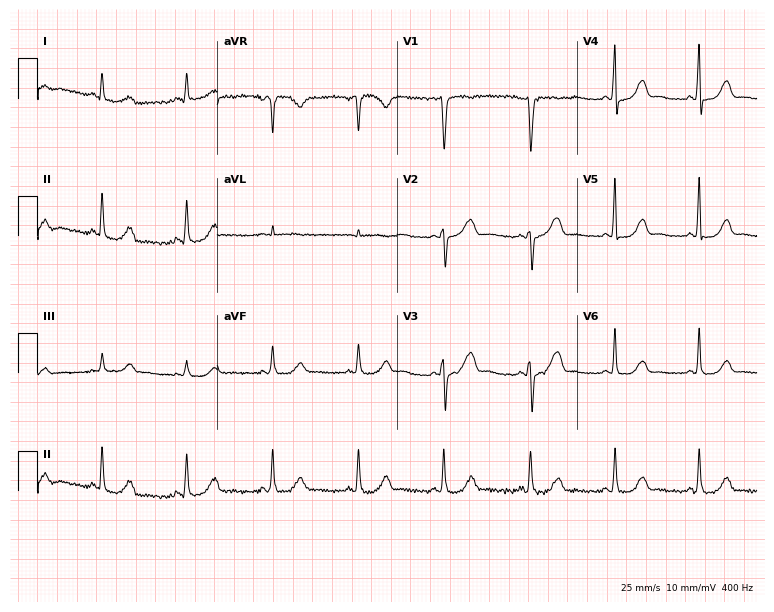
Standard 12-lead ECG recorded from a 46-year-old female patient (7.3-second recording at 400 Hz). None of these six findings is recorded: first-degree AV block, right bundle branch block, left bundle branch block, sinus bradycardia, atrial fibrillation, sinus tachycardia.